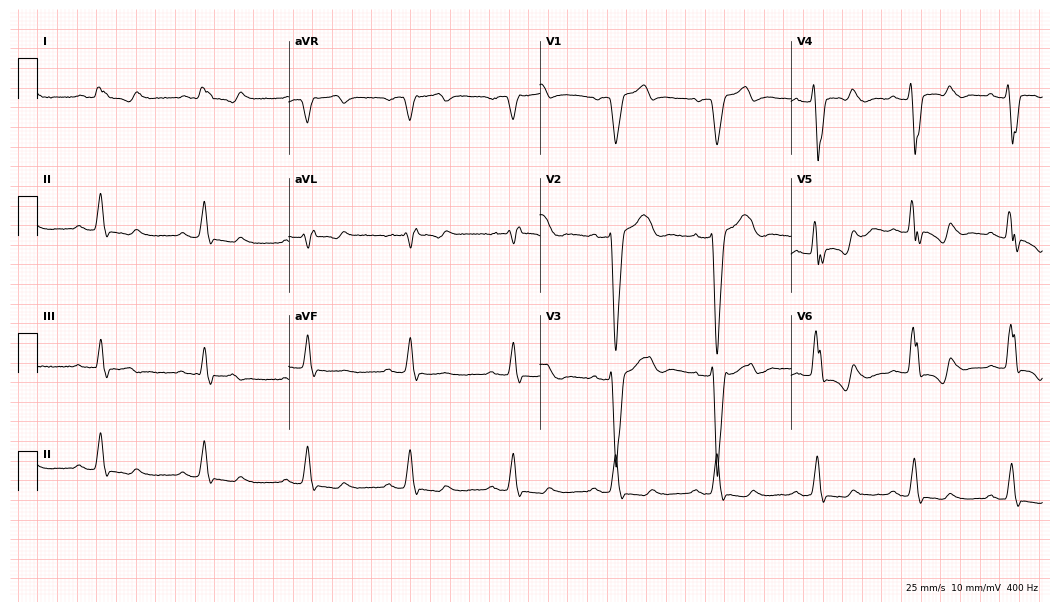
Standard 12-lead ECG recorded from a 70-year-old male (10.2-second recording at 400 Hz). None of these six findings is recorded: first-degree AV block, right bundle branch block (RBBB), left bundle branch block (LBBB), sinus bradycardia, atrial fibrillation (AF), sinus tachycardia.